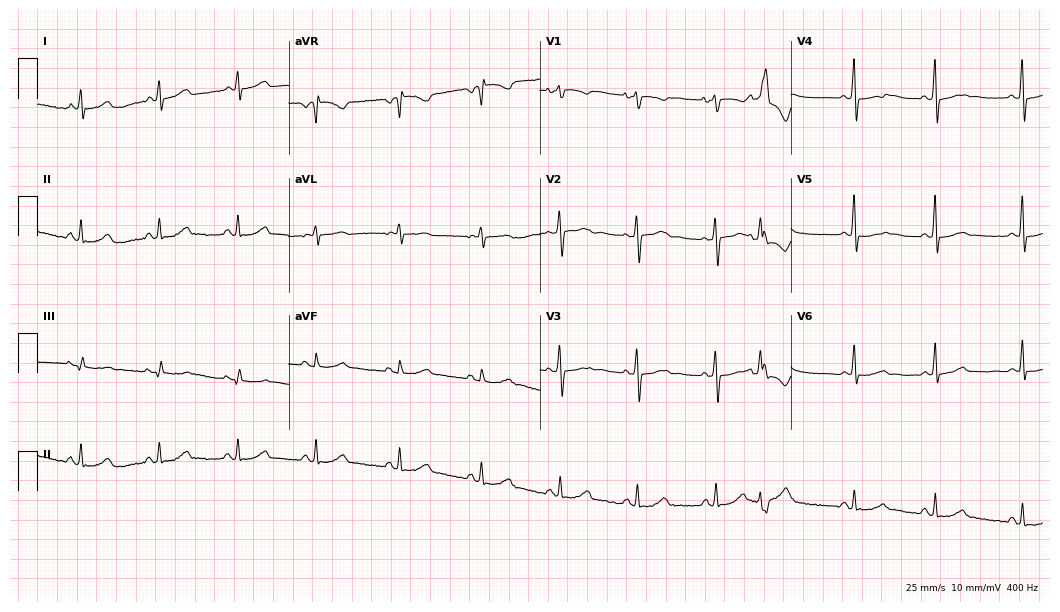
12-lead ECG from a 46-year-old female patient (10.2-second recording at 400 Hz). No first-degree AV block, right bundle branch block (RBBB), left bundle branch block (LBBB), sinus bradycardia, atrial fibrillation (AF) or sinus tachycardia recorded for this tracing.